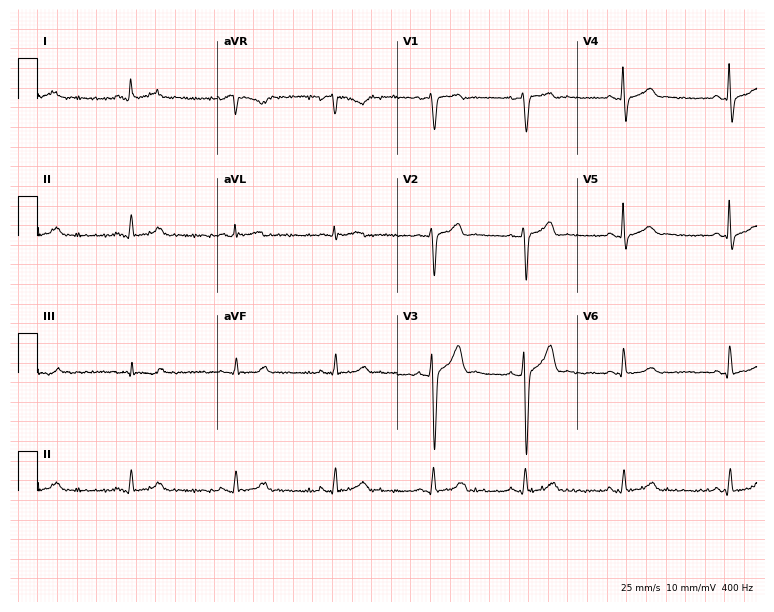
Standard 12-lead ECG recorded from a 42-year-old male. Read as a normal ECG.